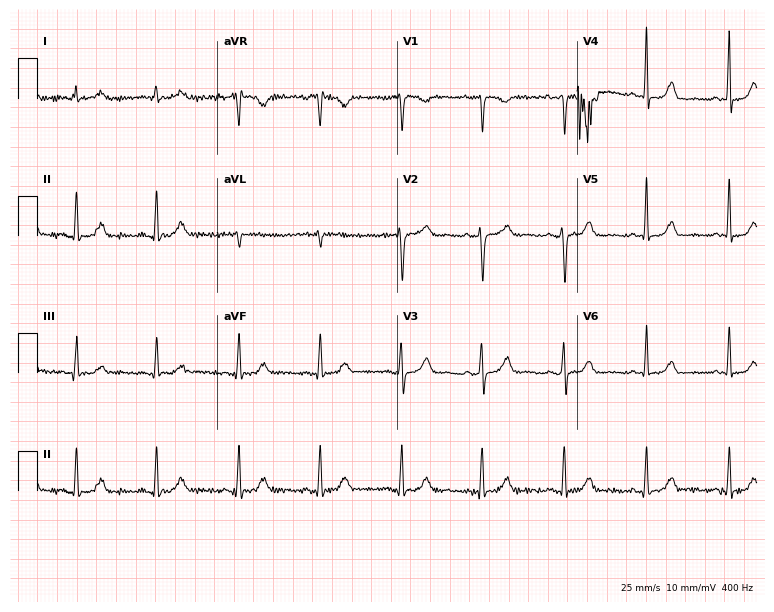
12-lead ECG from a 66-year-old female (7.3-second recording at 400 Hz). Recorded interpretation: within normal limits.